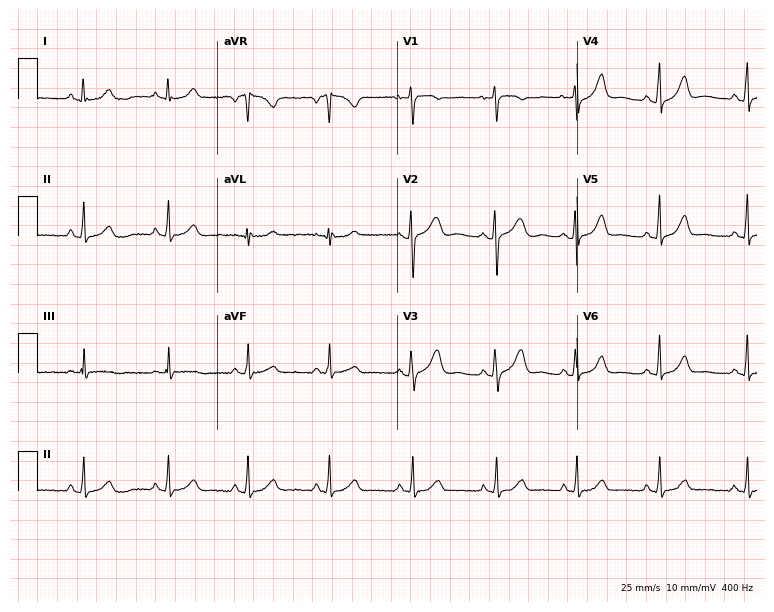
Standard 12-lead ECG recorded from a woman, 25 years old (7.3-second recording at 400 Hz). Read as a normal ECG.